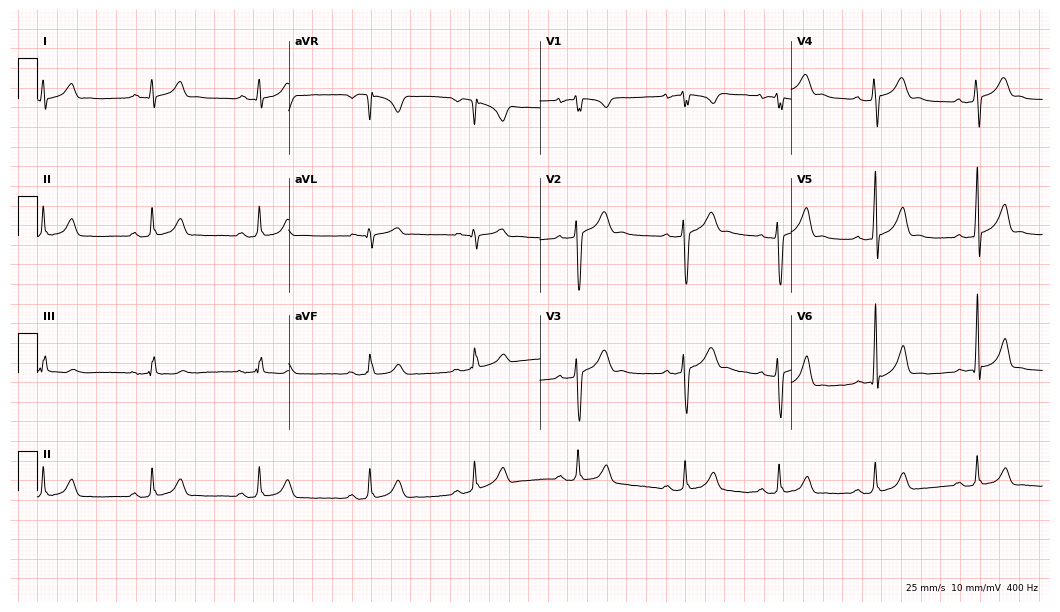
Resting 12-lead electrocardiogram. Patient: a male, 21 years old. Read as a normal ECG.